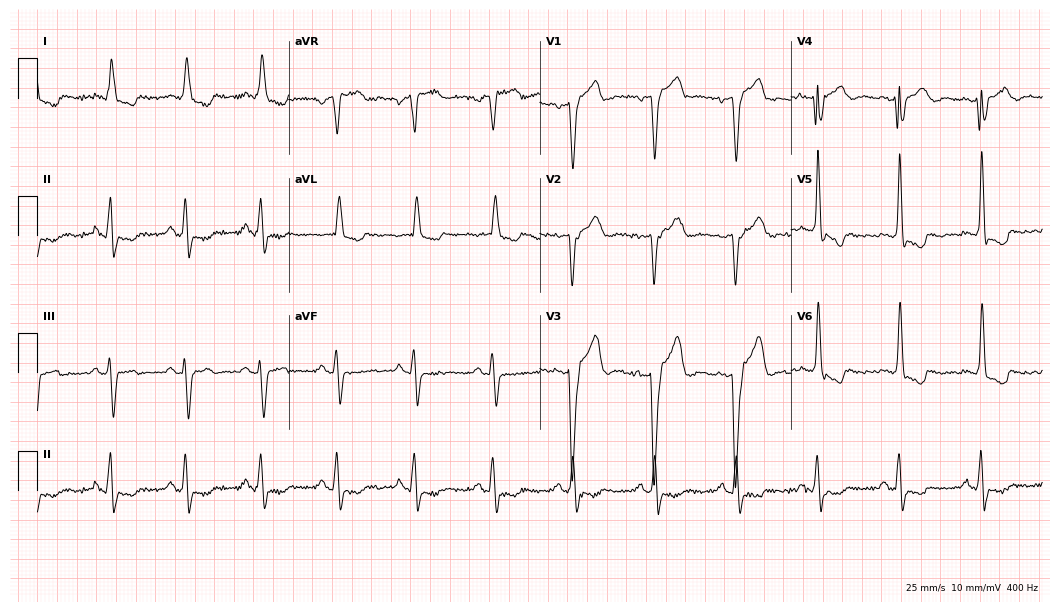
Standard 12-lead ECG recorded from a 67-year-old man. None of these six findings is recorded: first-degree AV block, right bundle branch block, left bundle branch block, sinus bradycardia, atrial fibrillation, sinus tachycardia. Findings outside these six are not listed.